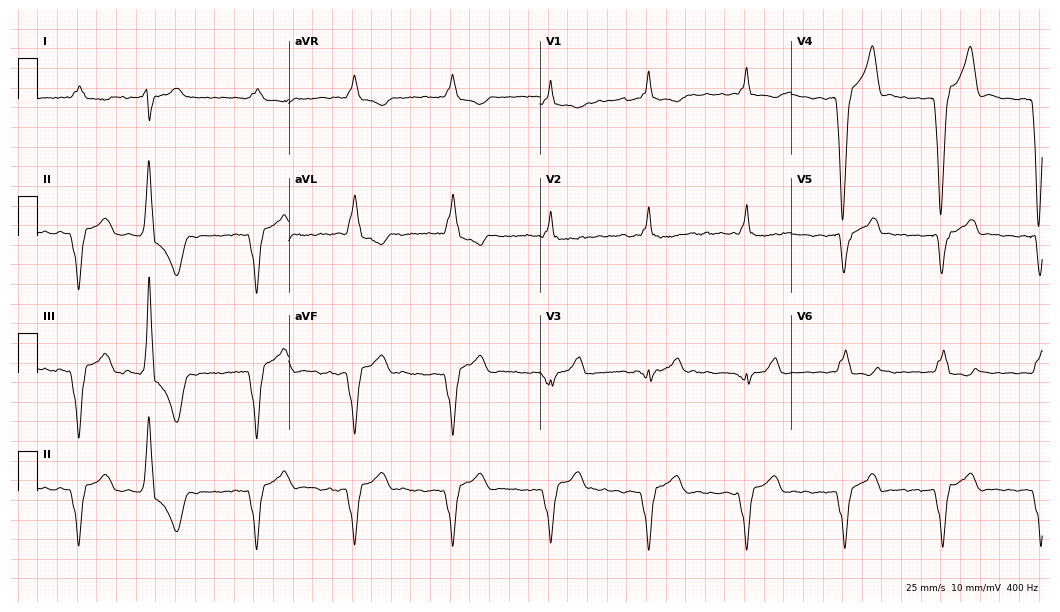
Electrocardiogram, a male patient, 61 years old. Of the six screened findings (first-degree AV block, right bundle branch block (RBBB), left bundle branch block (LBBB), sinus bradycardia, atrial fibrillation (AF), sinus tachycardia), none is recorded.